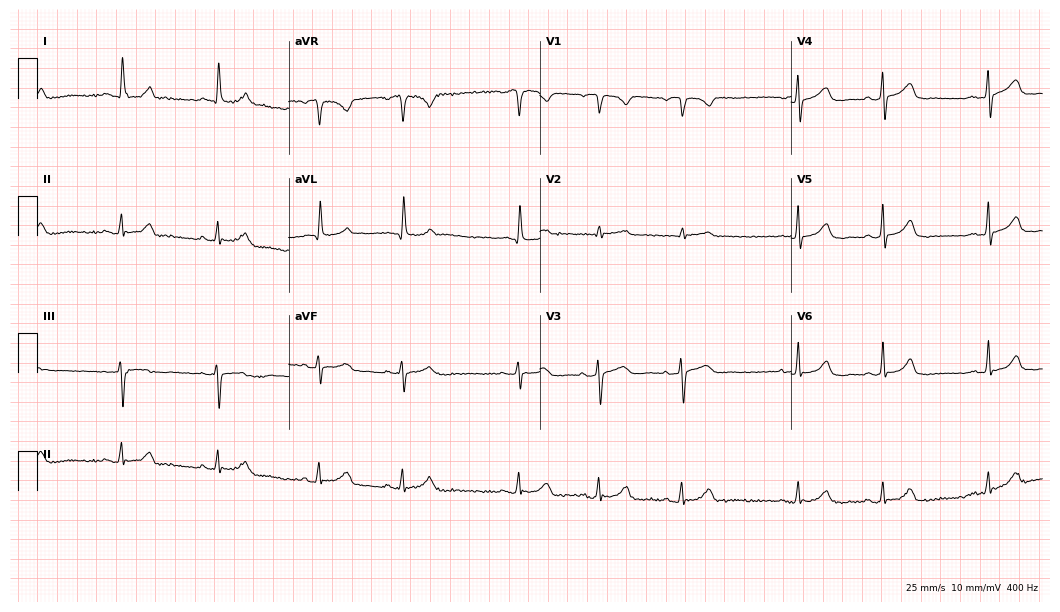
Resting 12-lead electrocardiogram (10.2-second recording at 400 Hz). Patient: an 84-year-old female. Read as a normal ECG.